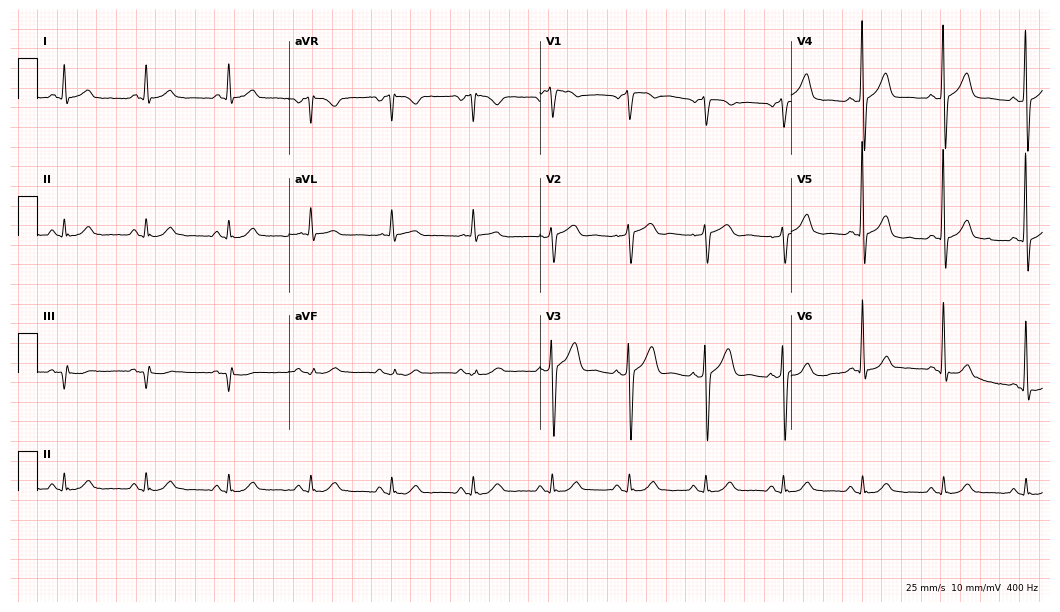
12-lead ECG (10.2-second recording at 400 Hz) from a 73-year-old man. Labelled as a normal ECG.